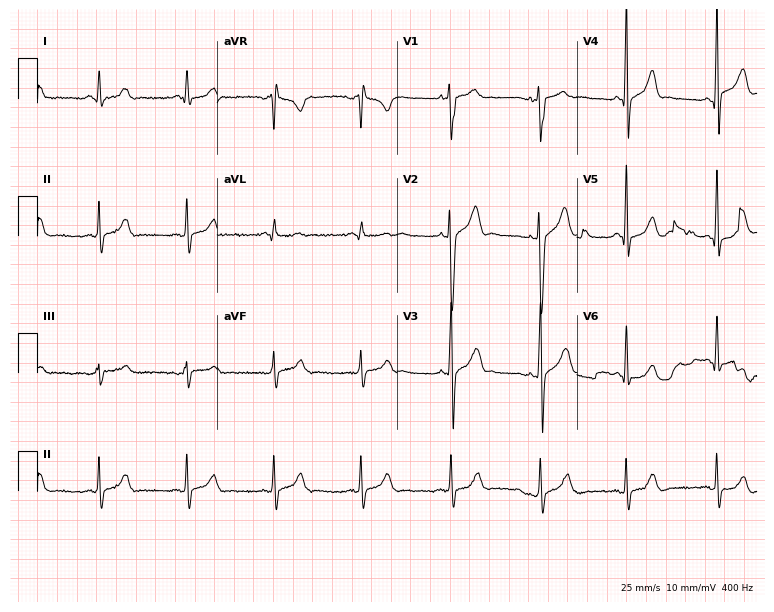
ECG — a 19-year-old male. Screened for six findings — first-degree AV block, right bundle branch block, left bundle branch block, sinus bradycardia, atrial fibrillation, sinus tachycardia — none is recorded. Findings outside these six are not listed.